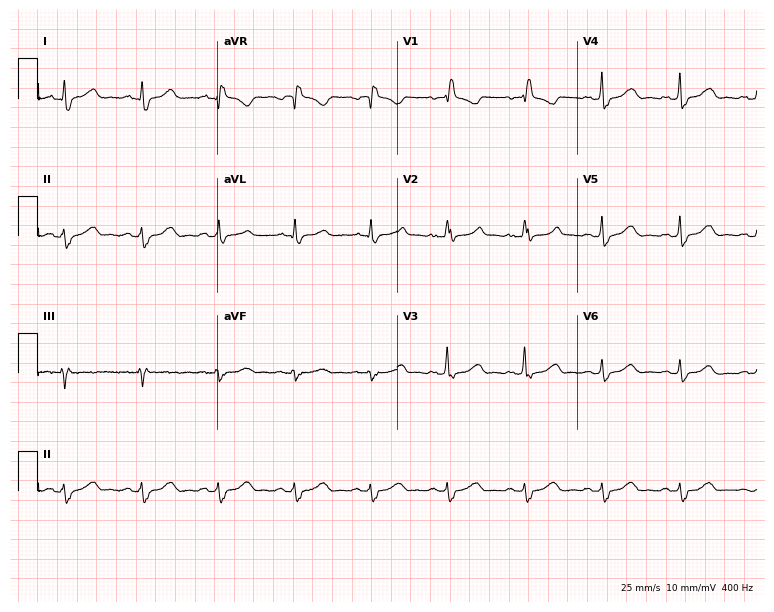
Standard 12-lead ECG recorded from a 51-year-old female. The tracing shows right bundle branch block (RBBB).